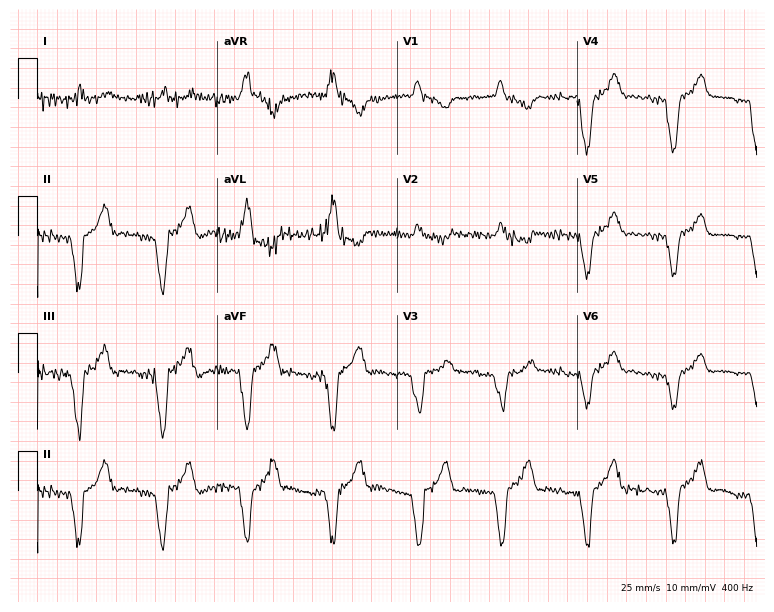
Standard 12-lead ECG recorded from a 72-year-old woman. None of these six findings is recorded: first-degree AV block, right bundle branch block, left bundle branch block, sinus bradycardia, atrial fibrillation, sinus tachycardia. Findings outside these six are not listed.